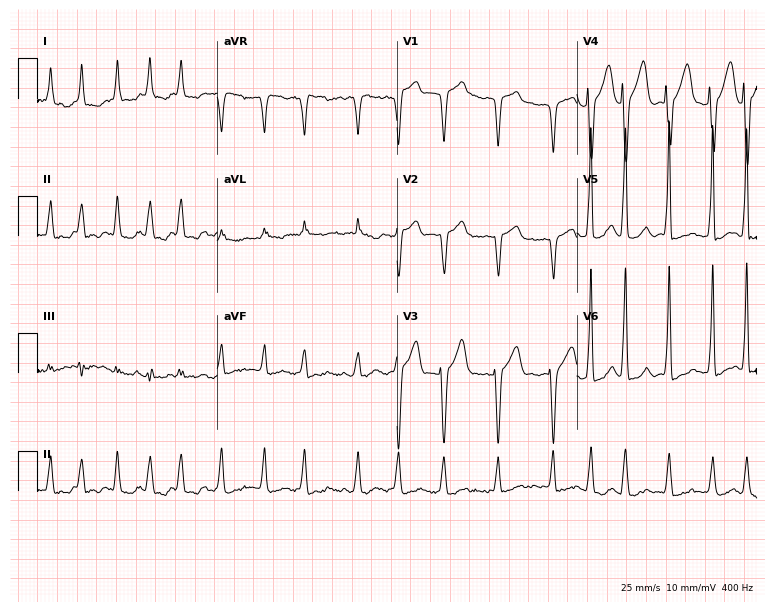
Electrocardiogram (7.3-second recording at 400 Hz), an 84-year-old woman. Interpretation includes atrial fibrillation (AF).